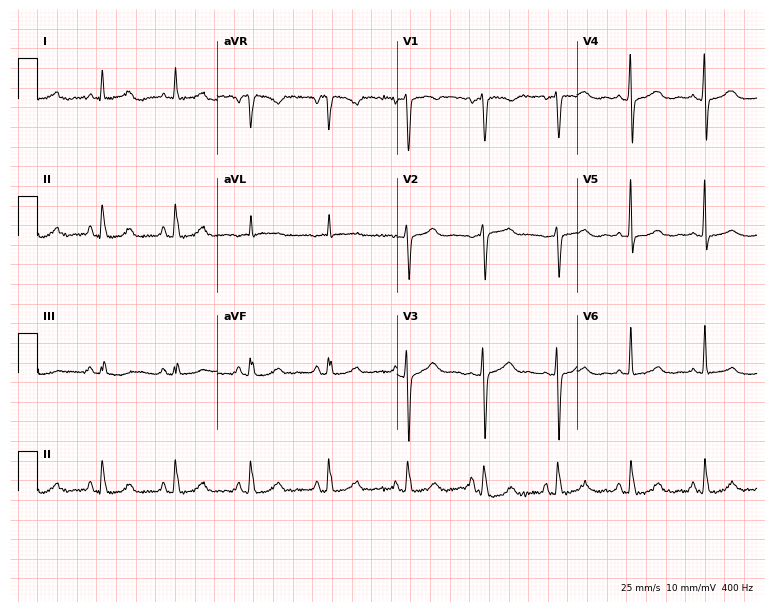
12-lead ECG from a 48-year-old female (7.3-second recording at 400 Hz). Recorded interpretation: within normal limits.